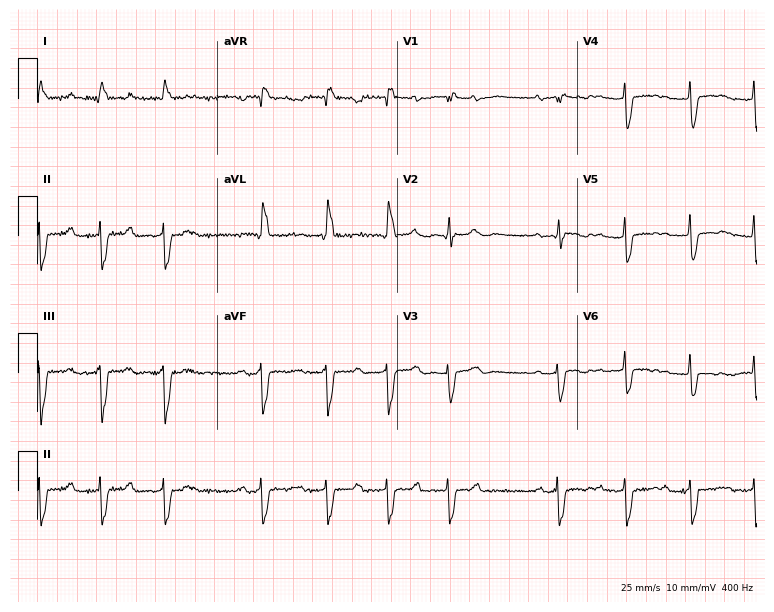
ECG — a 58-year-old female patient. Findings include first-degree AV block, right bundle branch block.